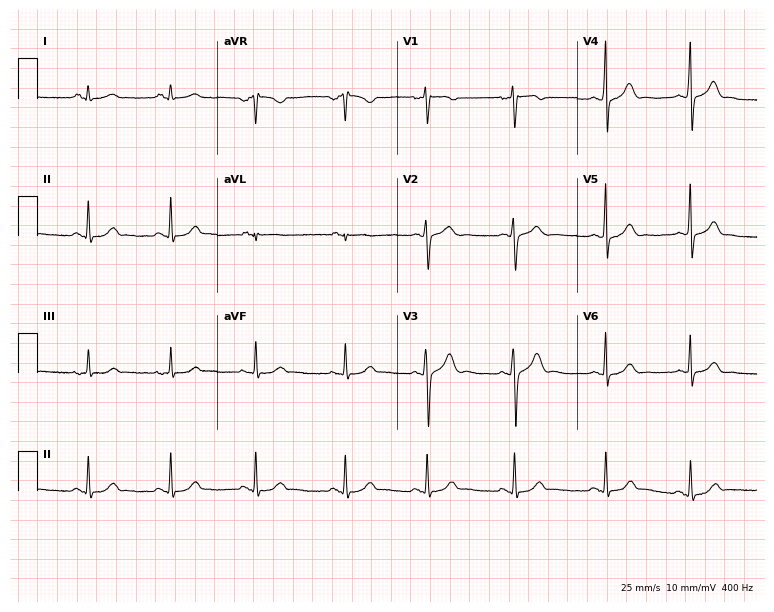
Resting 12-lead electrocardiogram. Patient: a female, 34 years old. Read as a normal ECG.